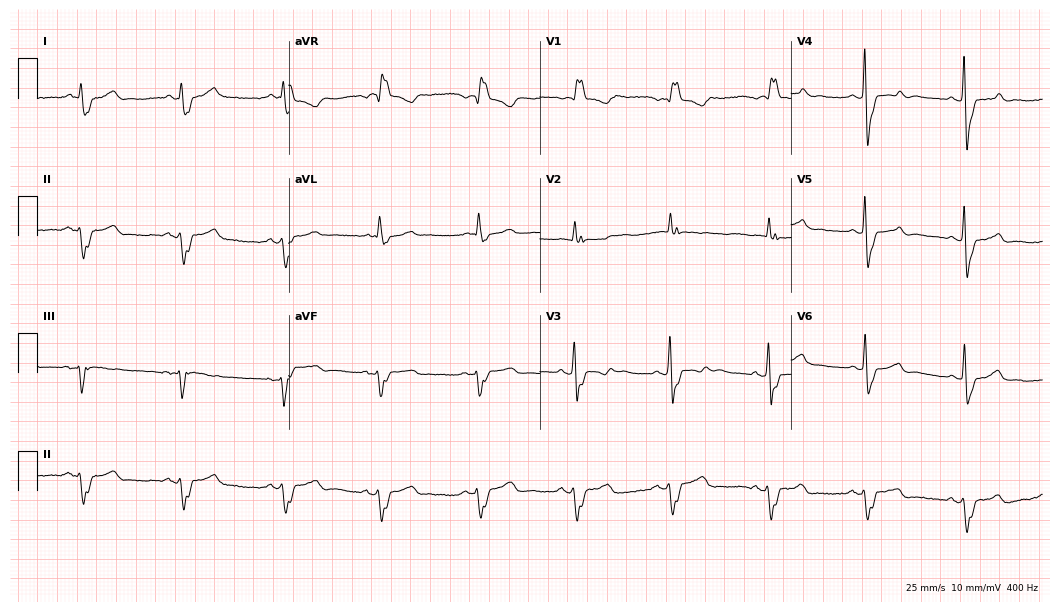
Electrocardiogram (10.2-second recording at 400 Hz), a 66-year-old female. Interpretation includes right bundle branch block.